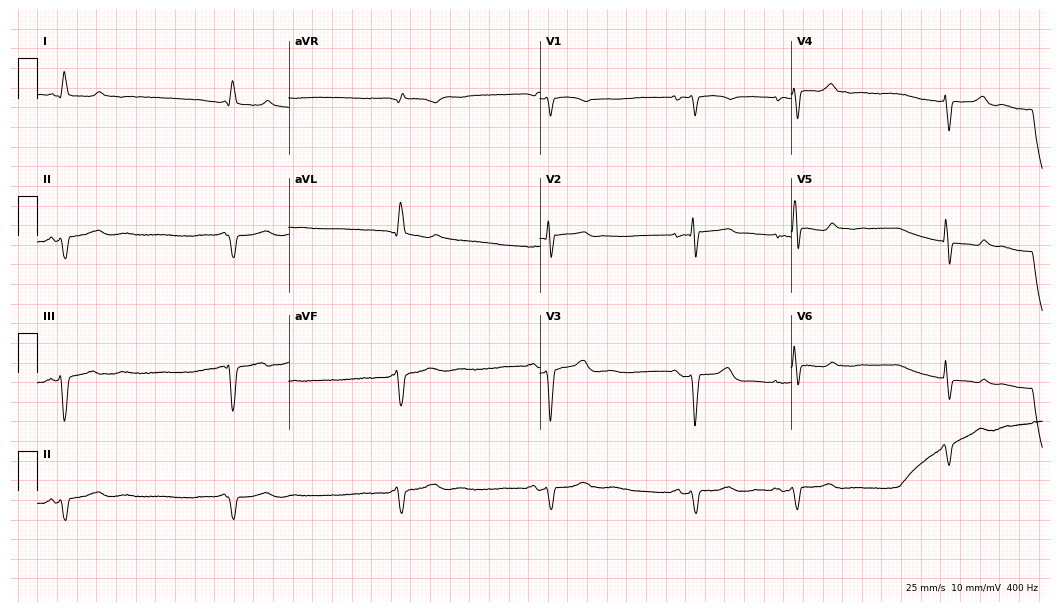
ECG — a female, 48 years old. Screened for six findings — first-degree AV block, right bundle branch block, left bundle branch block, sinus bradycardia, atrial fibrillation, sinus tachycardia — none is recorded. Findings outside these six are not listed.